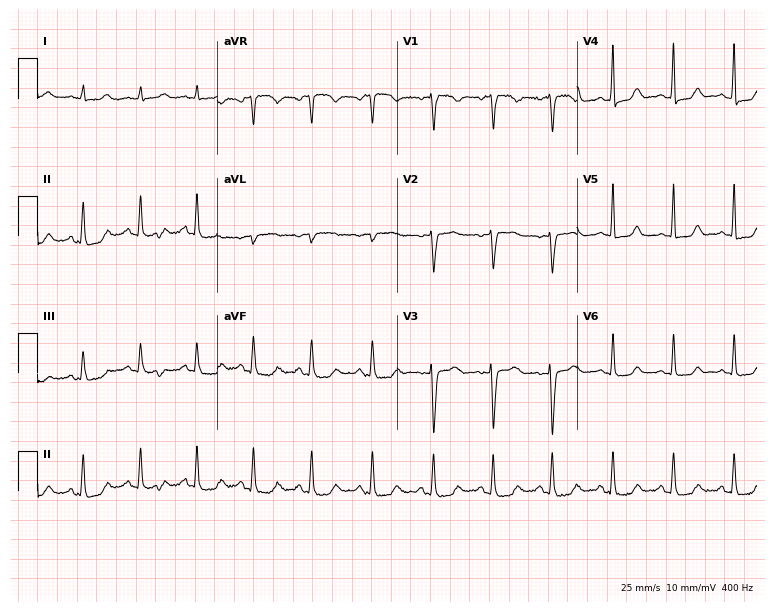
Standard 12-lead ECG recorded from a 38-year-old woman (7.3-second recording at 400 Hz). None of these six findings is recorded: first-degree AV block, right bundle branch block (RBBB), left bundle branch block (LBBB), sinus bradycardia, atrial fibrillation (AF), sinus tachycardia.